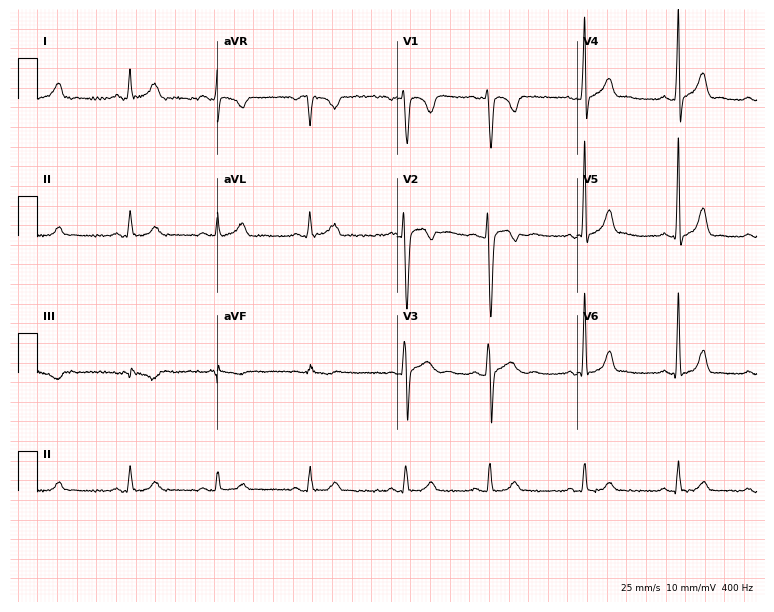
ECG — a female patient, 20 years old. Labelled as a normal ECG.